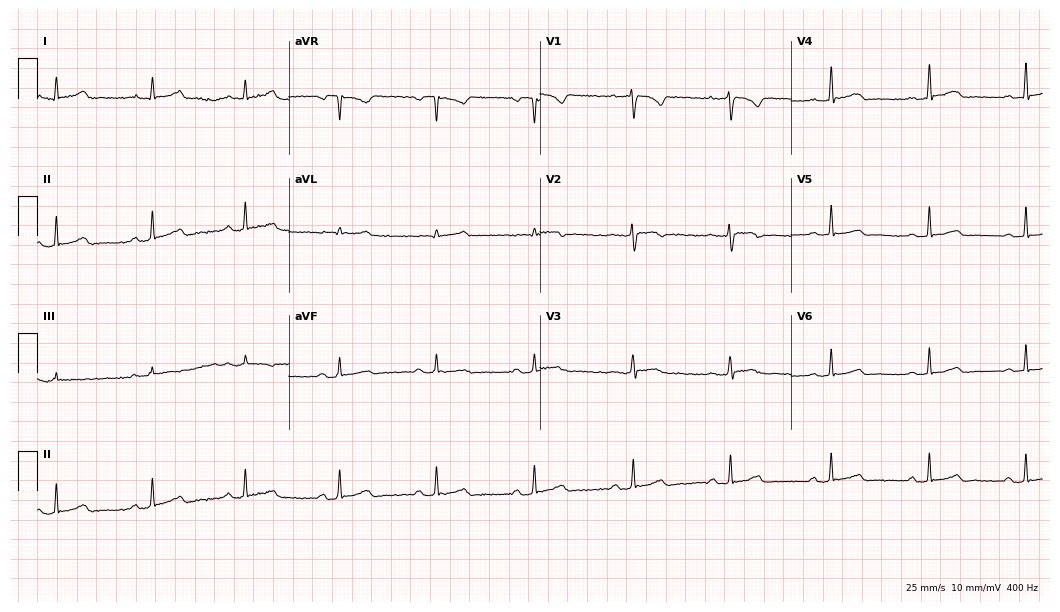
Electrocardiogram, a 43-year-old female patient. Of the six screened findings (first-degree AV block, right bundle branch block, left bundle branch block, sinus bradycardia, atrial fibrillation, sinus tachycardia), none is recorded. Only these six findings were labelled.